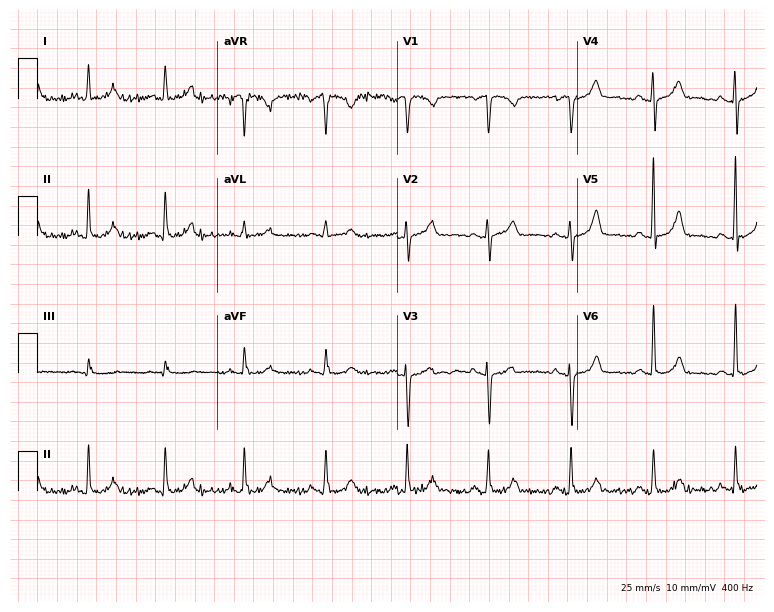
Resting 12-lead electrocardiogram. Patient: a woman, 52 years old. Read as a normal ECG.